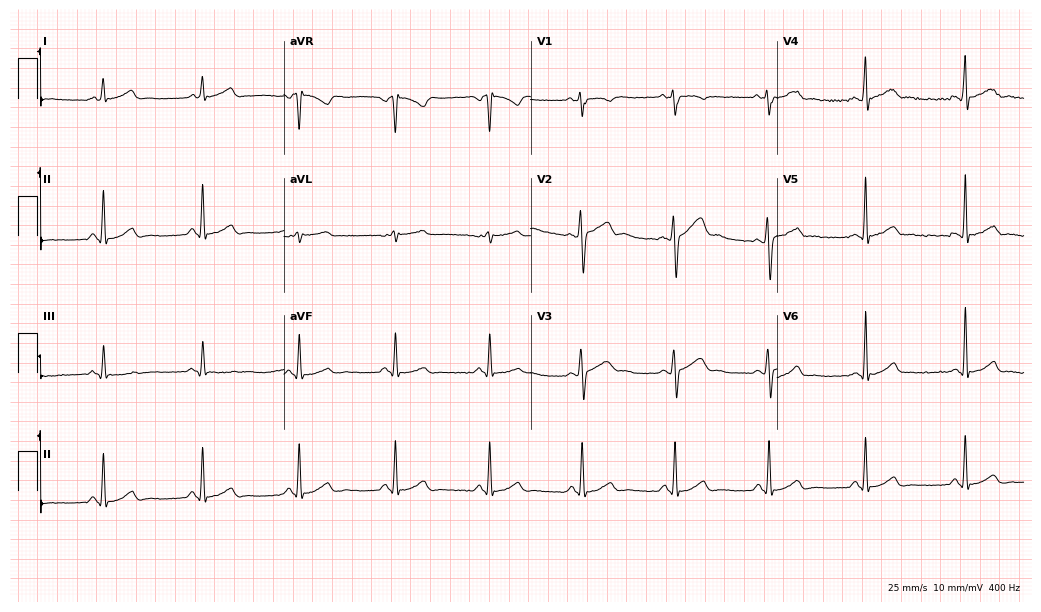
Resting 12-lead electrocardiogram (10.1-second recording at 400 Hz). Patient: a 23-year-old male. Read as a normal ECG.